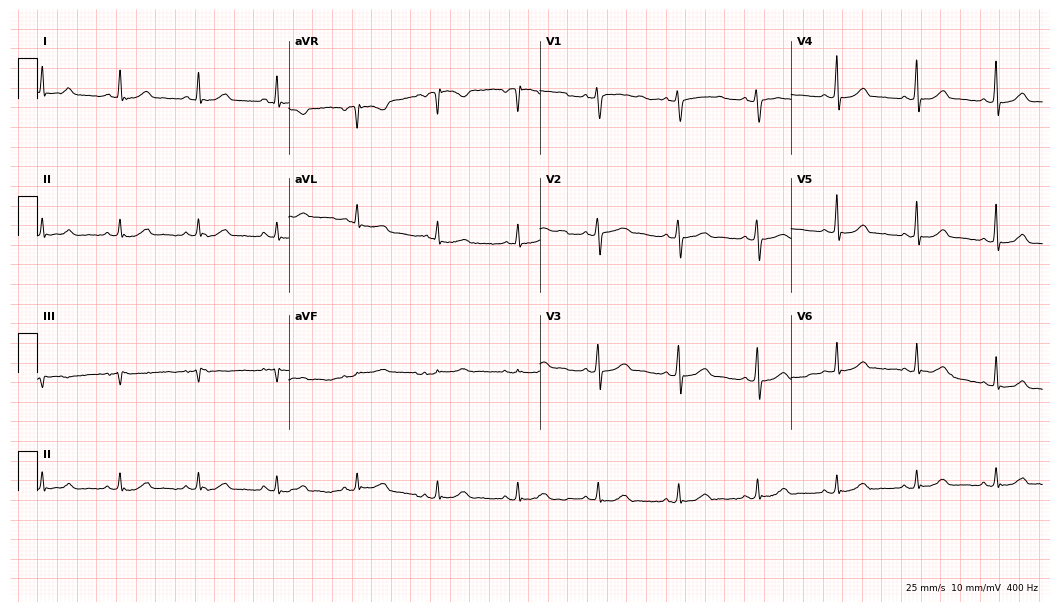
Electrocardiogram, a female patient, 62 years old. Of the six screened findings (first-degree AV block, right bundle branch block, left bundle branch block, sinus bradycardia, atrial fibrillation, sinus tachycardia), none is recorded. Only these six findings were labelled.